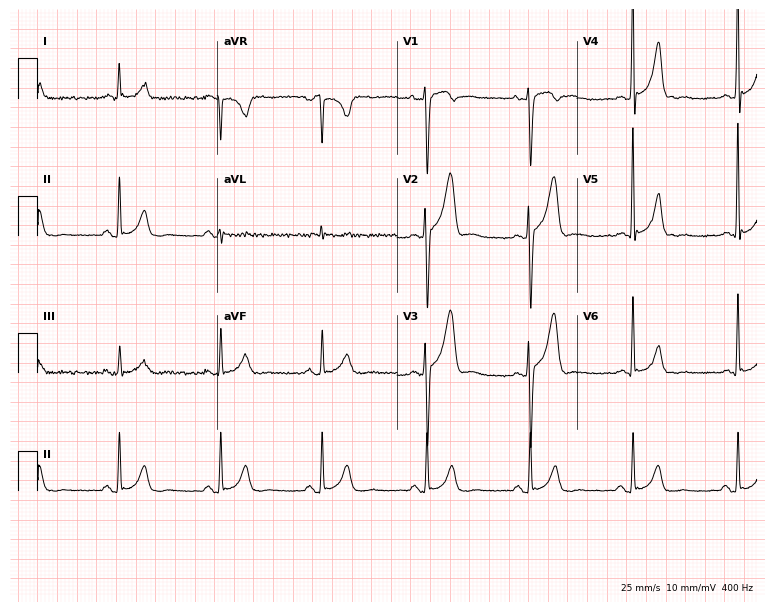
Standard 12-lead ECG recorded from a male, 59 years old. None of these six findings is recorded: first-degree AV block, right bundle branch block, left bundle branch block, sinus bradycardia, atrial fibrillation, sinus tachycardia.